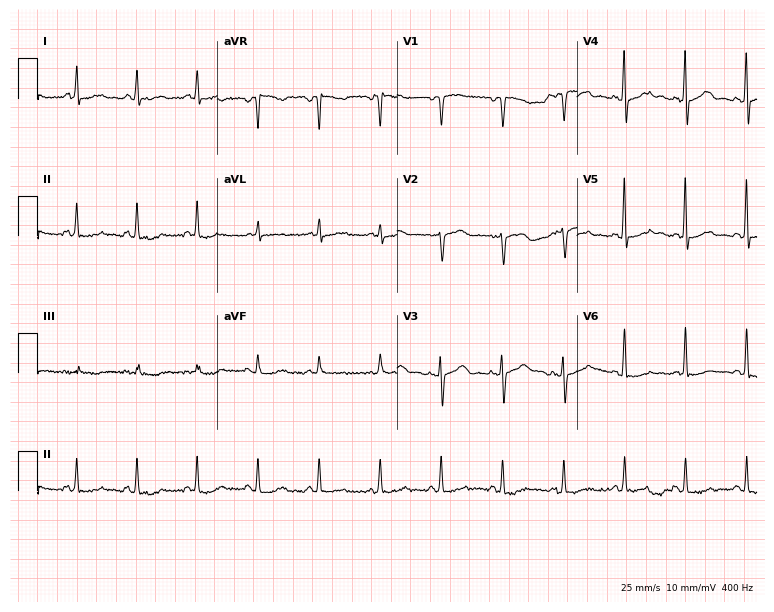
ECG (7.3-second recording at 400 Hz) — a female, 46 years old. Screened for six findings — first-degree AV block, right bundle branch block, left bundle branch block, sinus bradycardia, atrial fibrillation, sinus tachycardia — none is recorded.